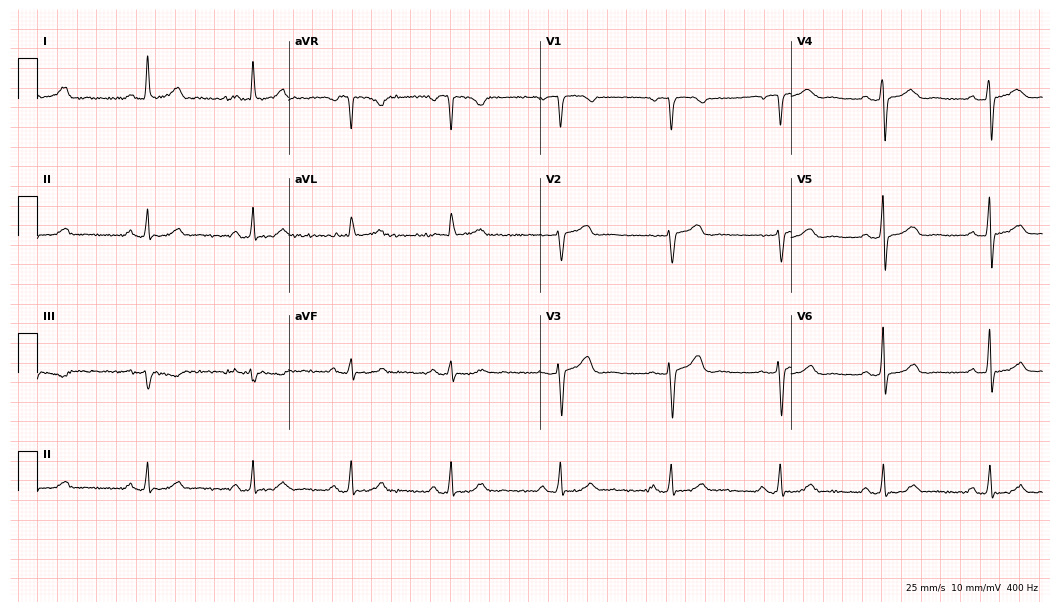
12-lead ECG from a 56-year-old female. Recorded interpretation: within normal limits.